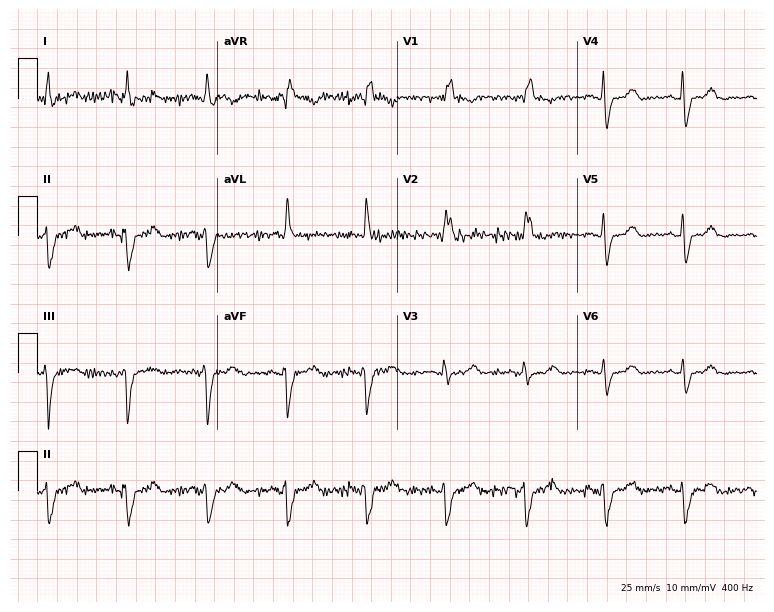
Resting 12-lead electrocardiogram (7.3-second recording at 400 Hz). Patient: a female, 62 years old. The tracing shows right bundle branch block.